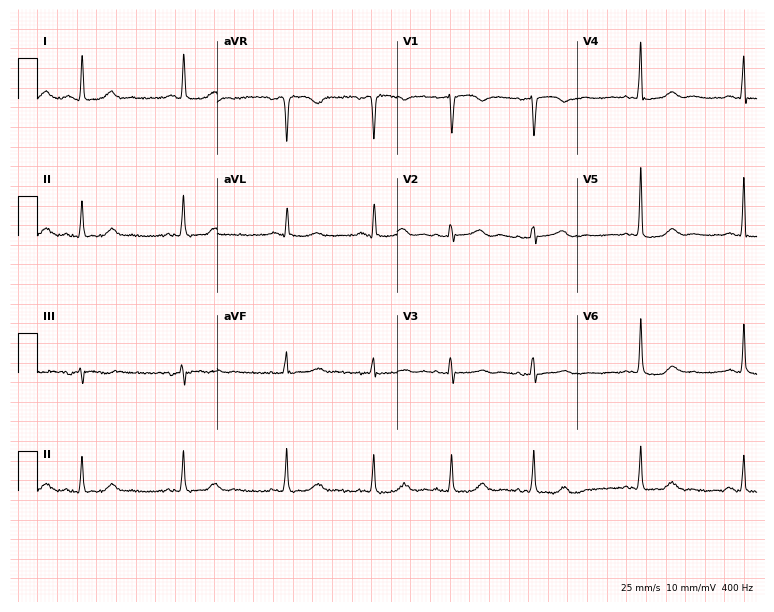
ECG — an 80-year-old female patient. Screened for six findings — first-degree AV block, right bundle branch block (RBBB), left bundle branch block (LBBB), sinus bradycardia, atrial fibrillation (AF), sinus tachycardia — none is recorded.